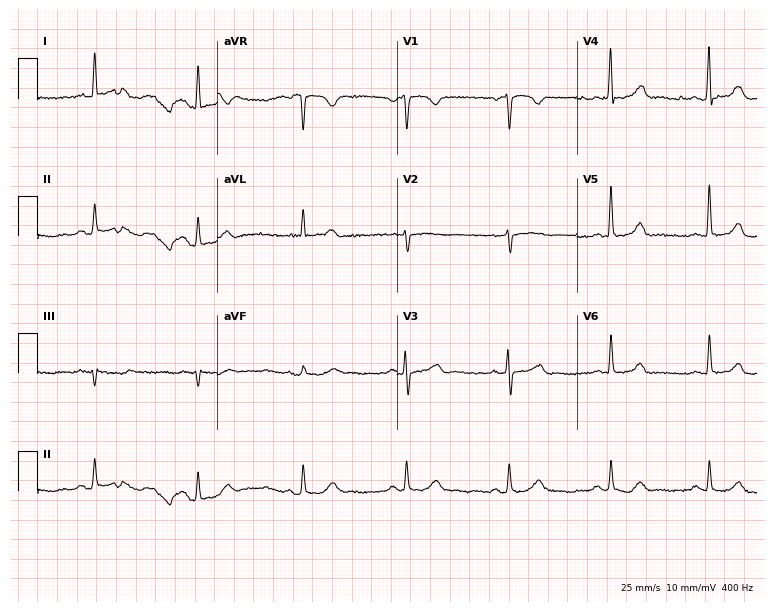
12-lead ECG from a 63-year-old male patient. Recorded interpretation: within normal limits.